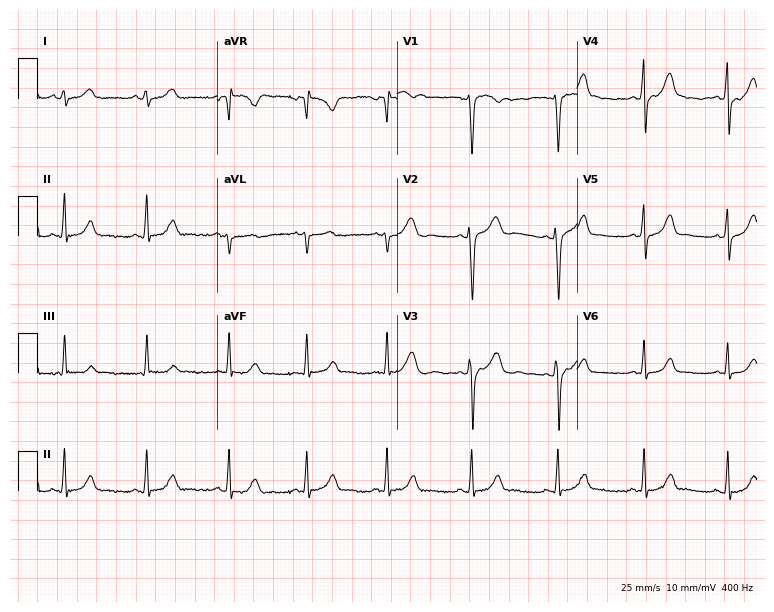
Electrocardiogram (7.3-second recording at 400 Hz), a 23-year-old female patient. Of the six screened findings (first-degree AV block, right bundle branch block, left bundle branch block, sinus bradycardia, atrial fibrillation, sinus tachycardia), none is recorded. Only these six findings were labelled.